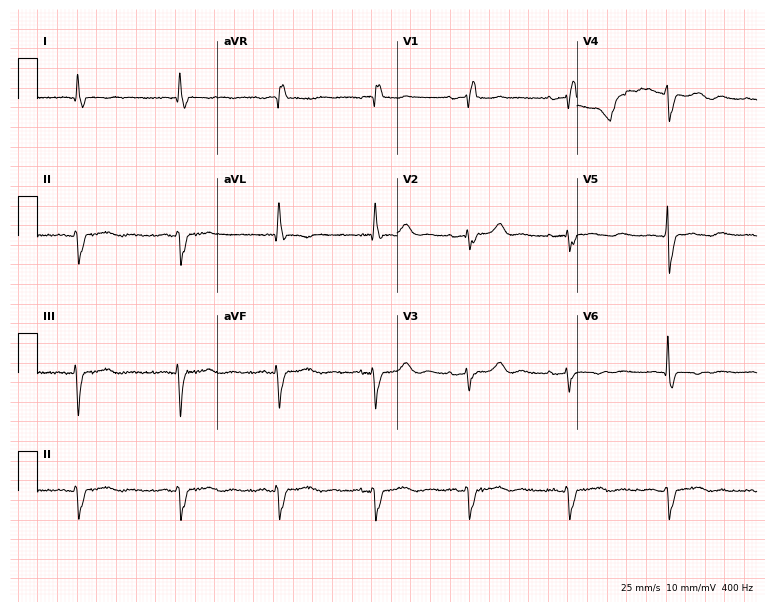
12-lead ECG from a 54-year-old female (7.3-second recording at 400 Hz). Shows right bundle branch block.